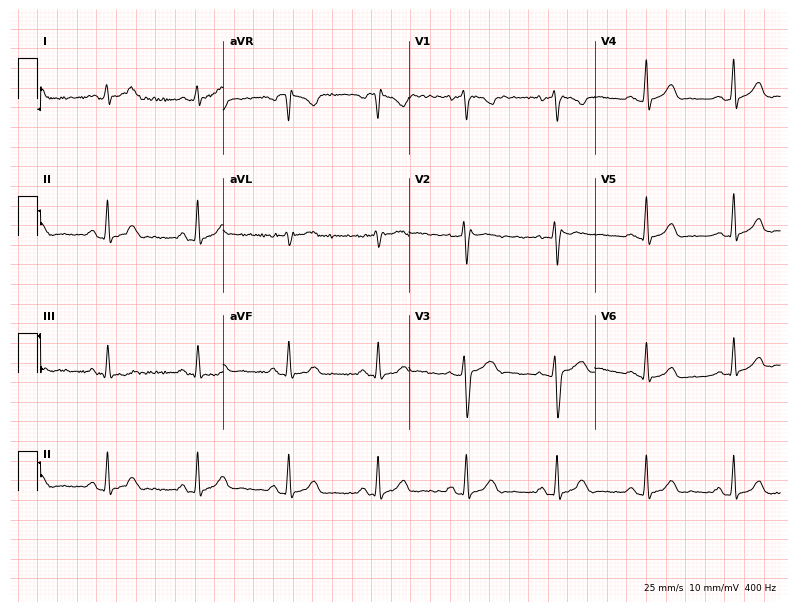
12-lead ECG from a 32-year-old female. Labelled as a normal ECG.